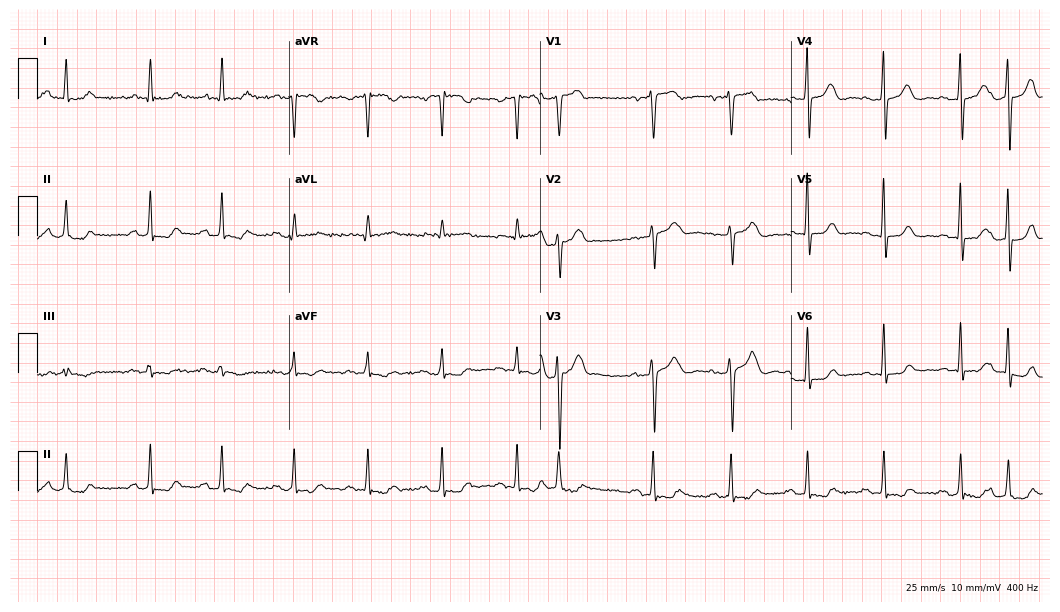
12-lead ECG from a 61-year-old female. No first-degree AV block, right bundle branch block, left bundle branch block, sinus bradycardia, atrial fibrillation or sinus tachycardia recorded for this tracing.